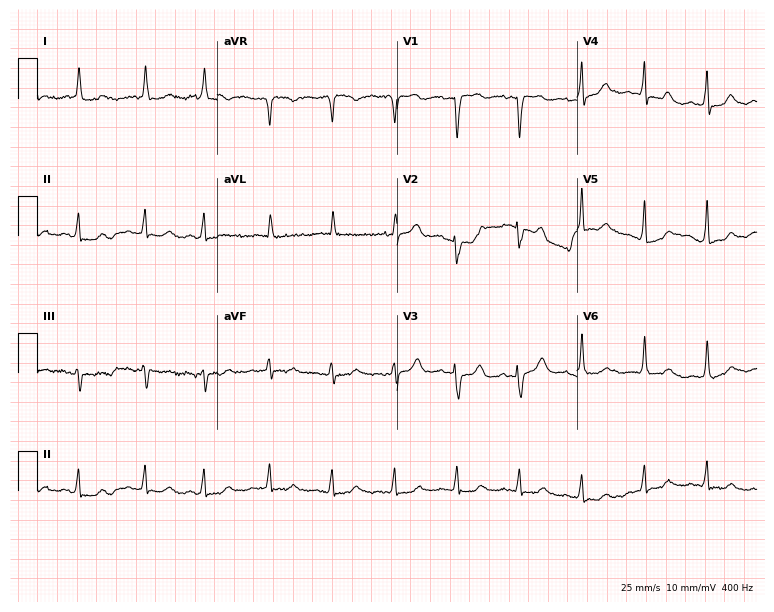
Electrocardiogram (7.3-second recording at 400 Hz), an 84-year-old female. Of the six screened findings (first-degree AV block, right bundle branch block, left bundle branch block, sinus bradycardia, atrial fibrillation, sinus tachycardia), none is recorded. Only these six findings were labelled.